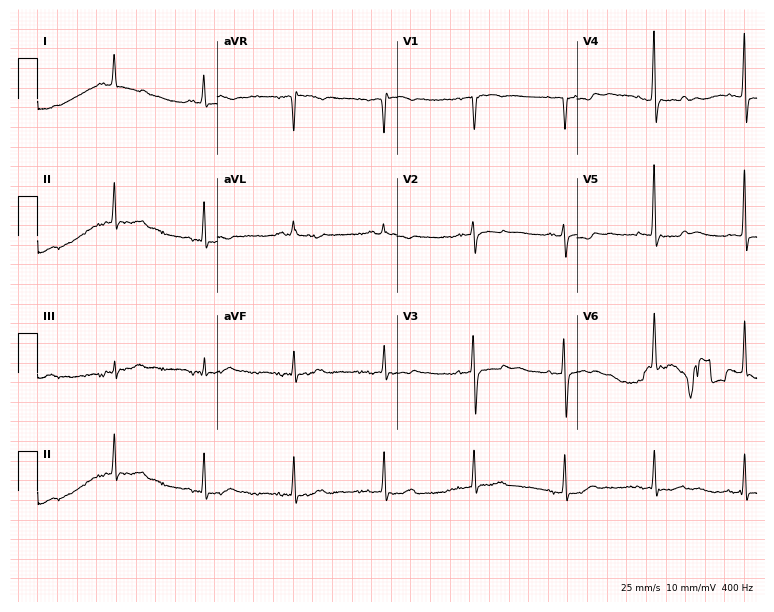
12-lead ECG from a 64-year-old man. Screened for six findings — first-degree AV block, right bundle branch block, left bundle branch block, sinus bradycardia, atrial fibrillation, sinus tachycardia — none is recorded.